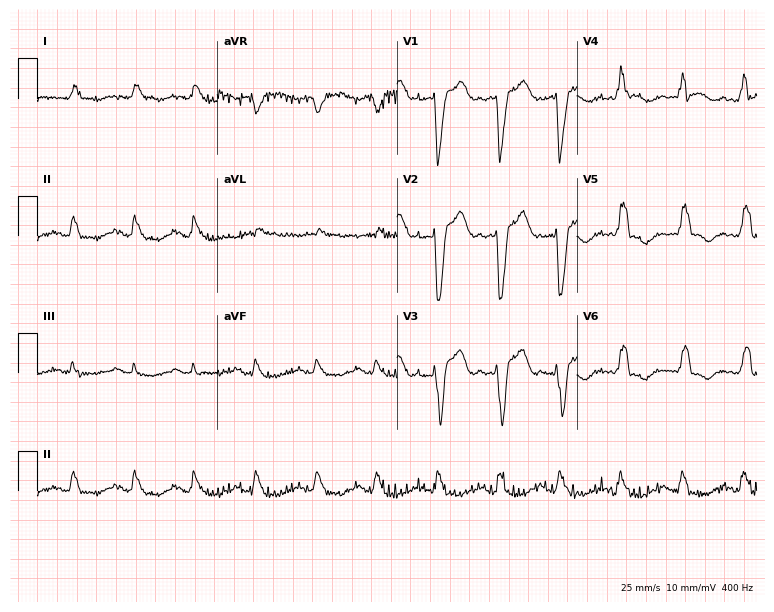
12-lead ECG from an 85-year-old female. Findings include left bundle branch block.